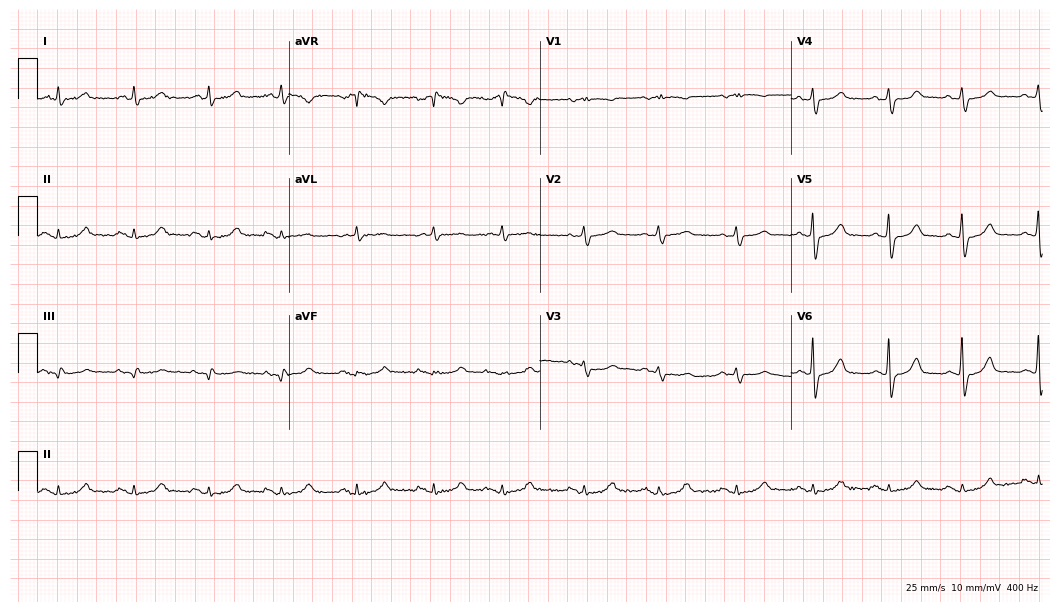
ECG (10.2-second recording at 400 Hz) — a man, 82 years old. Screened for six findings — first-degree AV block, right bundle branch block, left bundle branch block, sinus bradycardia, atrial fibrillation, sinus tachycardia — none is recorded.